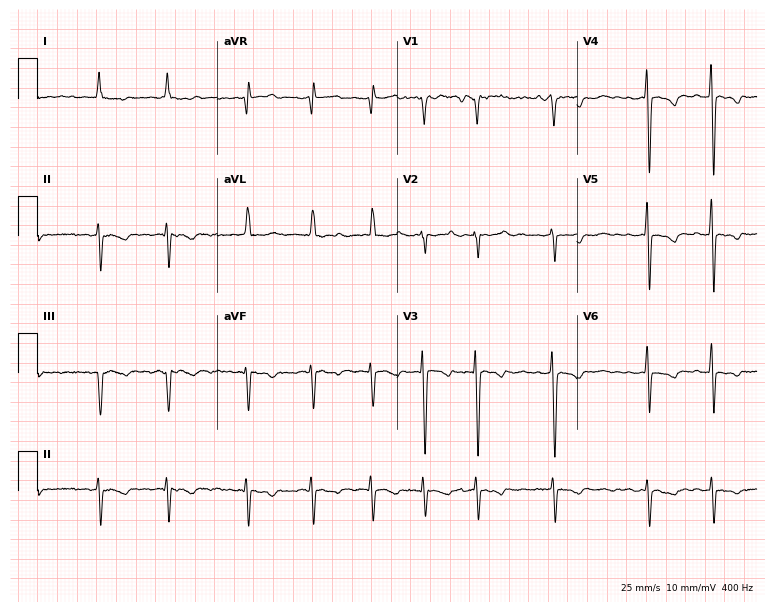
Standard 12-lead ECG recorded from a 62-year-old female patient (7.3-second recording at 400 Hz). The tracing shows atrial fibrillation (AF).